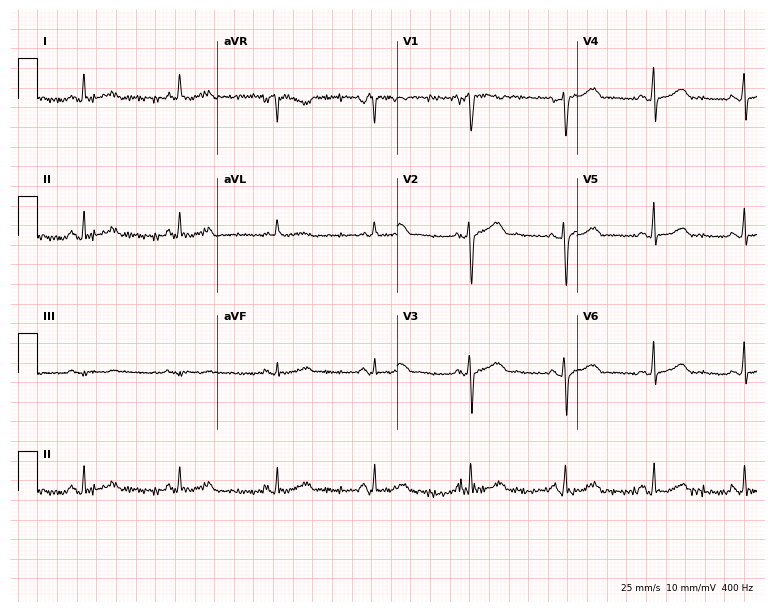
Resting 12-lead electrocardiogram. Patient: a female, 59 years old. None of these six findings is recorded: first-degree AV block, right bundle branch block, left bundle branch block, sinus bradycardia, atrial fibrillation, sinus tachycardia.